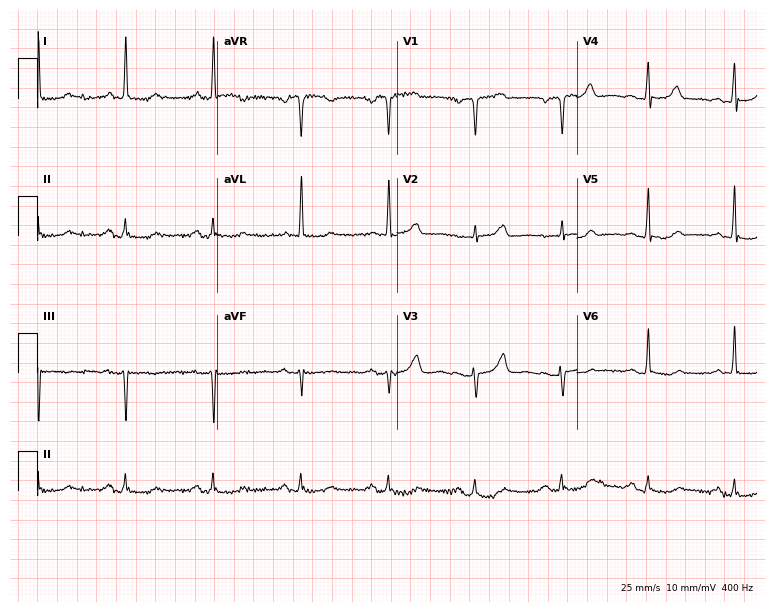
12-lead ECG (7.3-second recording at 400 Hz) from a female patient, 66 years old. Screened for six findings — first-degree AV block, right bundle branch block (RBBB), left bundle branch block (LBBB), sinus bradycardia, atrial fibrillation (AF), sinus tachycardia — none is recorded. Other findings, if any, are not listed.